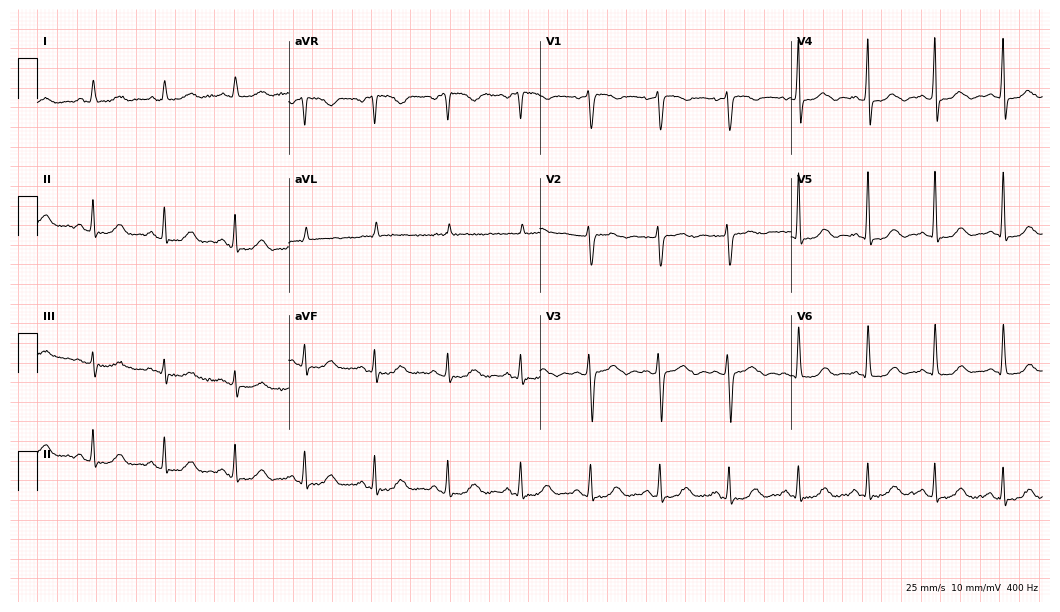
Standard 12-lead ECG recorded from a female patient, 55 years old (10.2-second recording at 400 Hz). None of these six findings is recorded: first-degree AV block, right bundle branch block (RBBB), left bundle branch block (LBBB), sinus bradycardia, atrial fibrillation (AF), sinus tachycardia. Only these six findings were labelled.